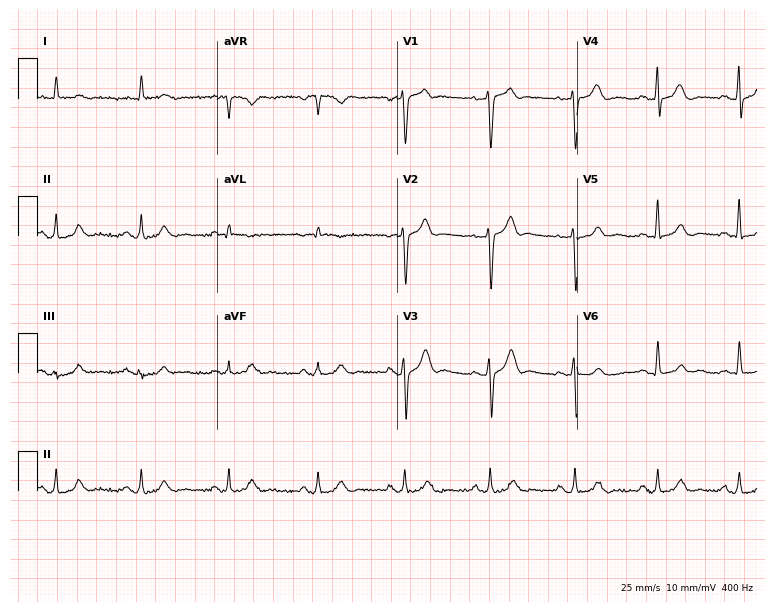
ECG — a male patient, 53 years old. Screened for six findings — first-degree AV block, right bundle branch block (RBBB), left bundle branch block (LBBB), sinus bradycardia, atrial fibrillation (AF), sinus tachycardia — none is recorded. Other findings, if any, are not listed.